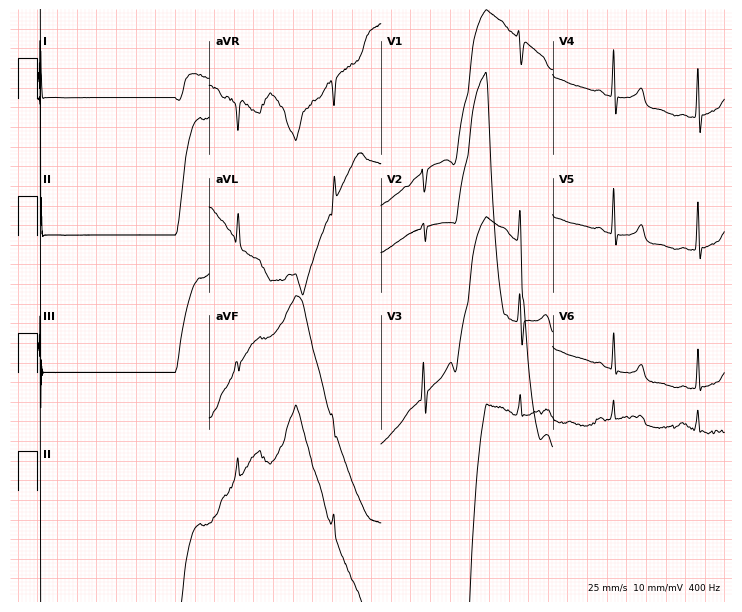
Electrocardiogram, a female, 34 years old. Of the six screened findings (first-degree AV block, right bundle branch block, left bundle branch block, sinus bradycardia, atrial fibrillation, sinus tachycardia), none is recorded.